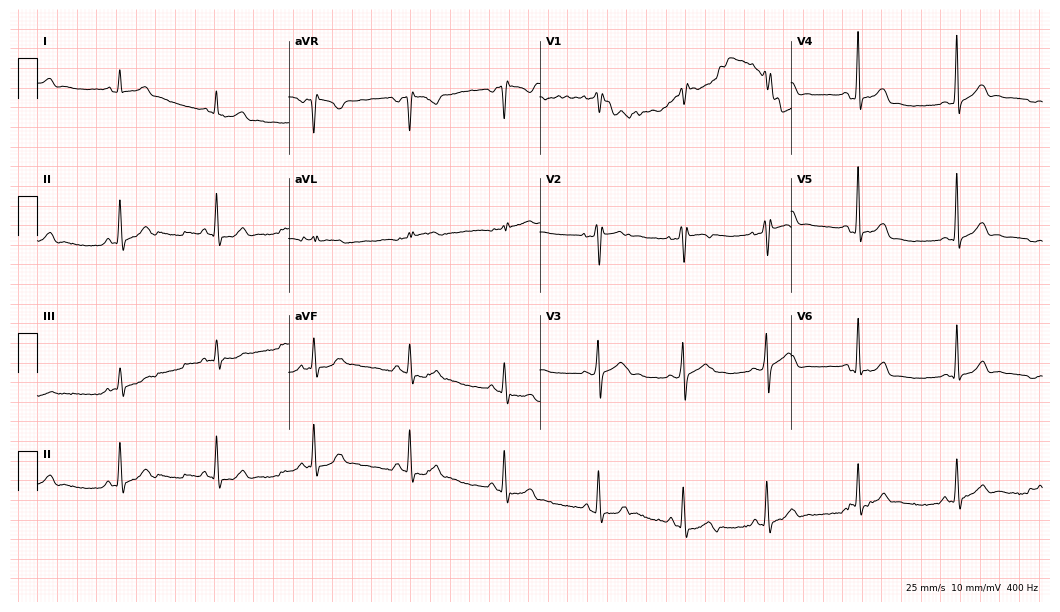
12-lead ECG from a male patient, 24 years old. No first-degree AV block, right bundle branch block (RBBB), left bundle branch block (LBBB), sinus bradycardia, atrial fibrillation (AF) or sinus tachycardia recorded for this tracing. Findings outside these six are not listed.